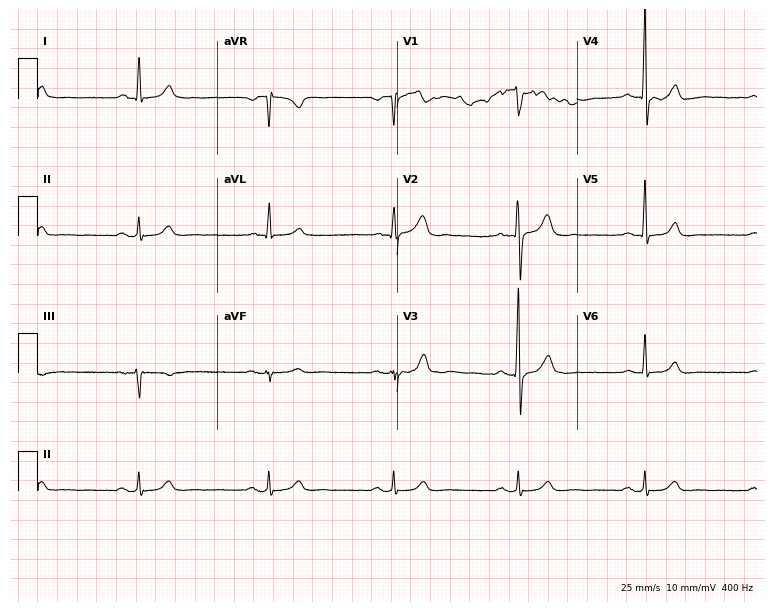
12-lead ECG from a male patient, 56 years old. Shows sinus bradycardia (a sinus rate of 50 beats per minute or less).